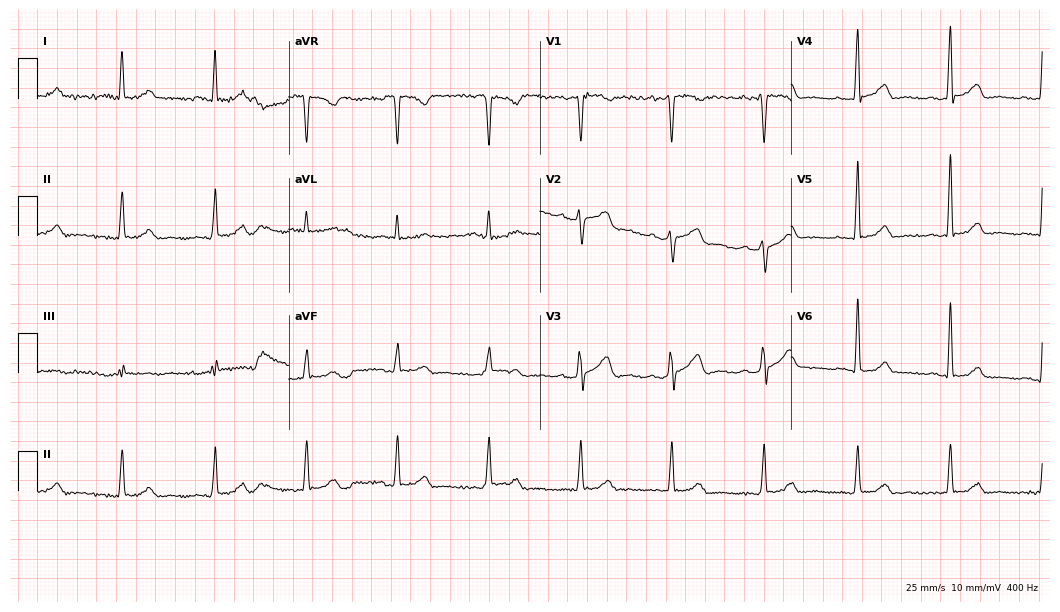
12-lead ECG (10.2-second recording at 400 Hz) from a man, 59 years old. Screened for six findings — first-degree AV block, right bundle branch block, left bundle branch block, sinus bradycardia, atrial fibrillation, sinus tachycardia — none is recorded.